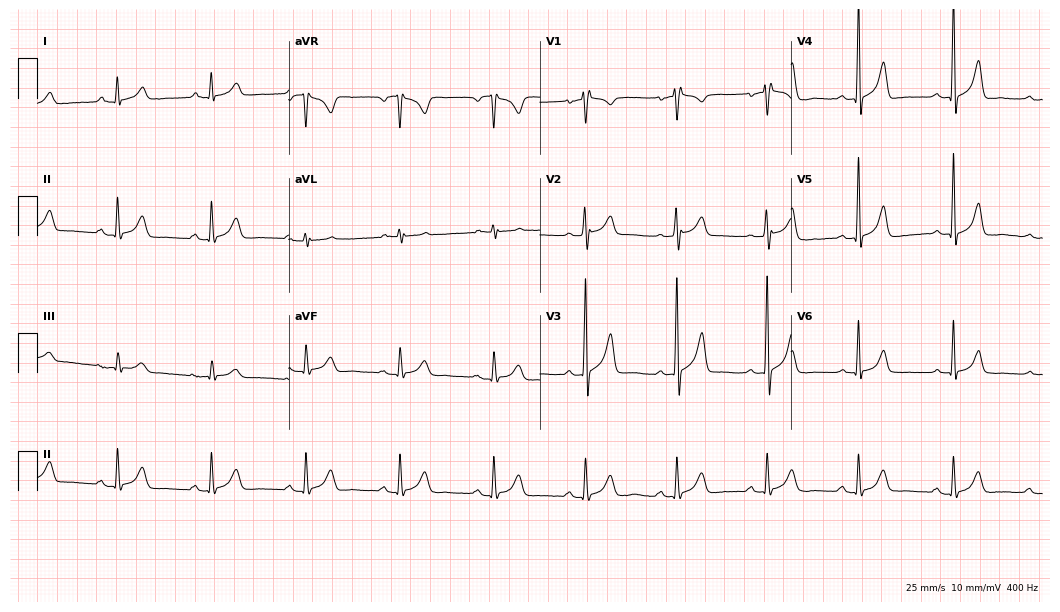
12-lead ECG from a 56-year-old male patient. Recorded interpretation: within normal limits.